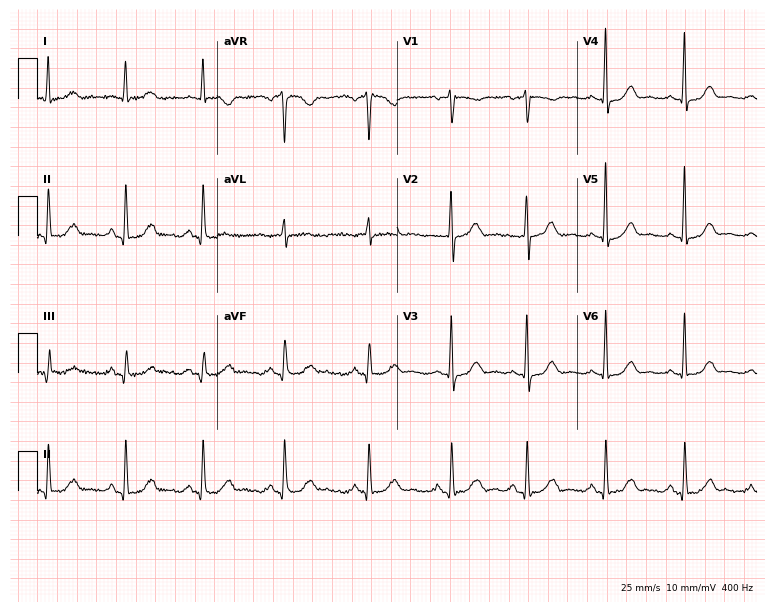
Electrocardiogram (7.3-second recording at 400 Hz), a female patient, 66 years old. Overall reading on record: normal ECG.